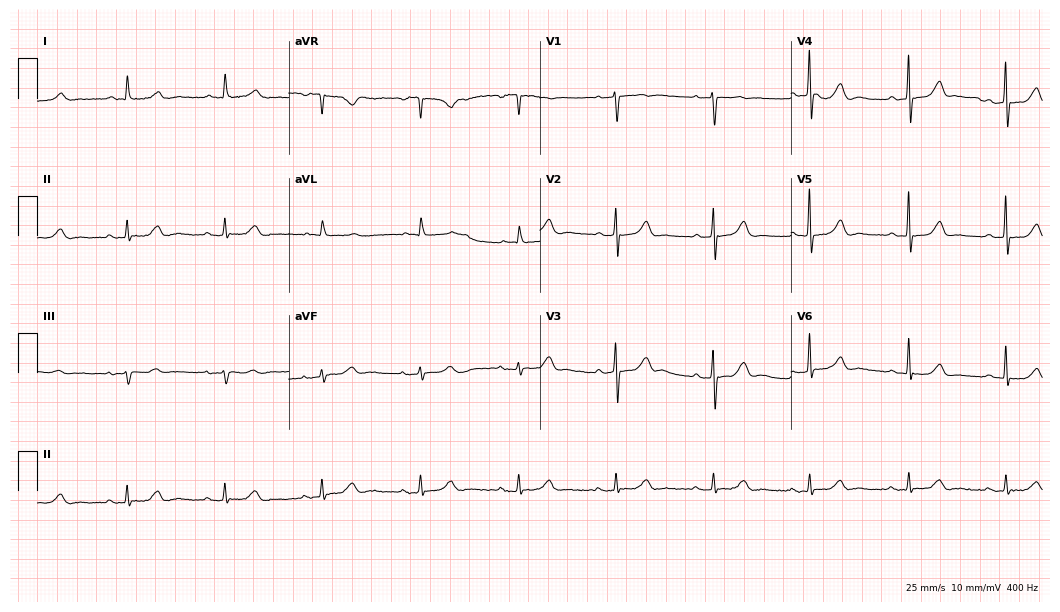
12-lead ECG from an 85-year-old male patient. Recorded interpretation: within normal limits.